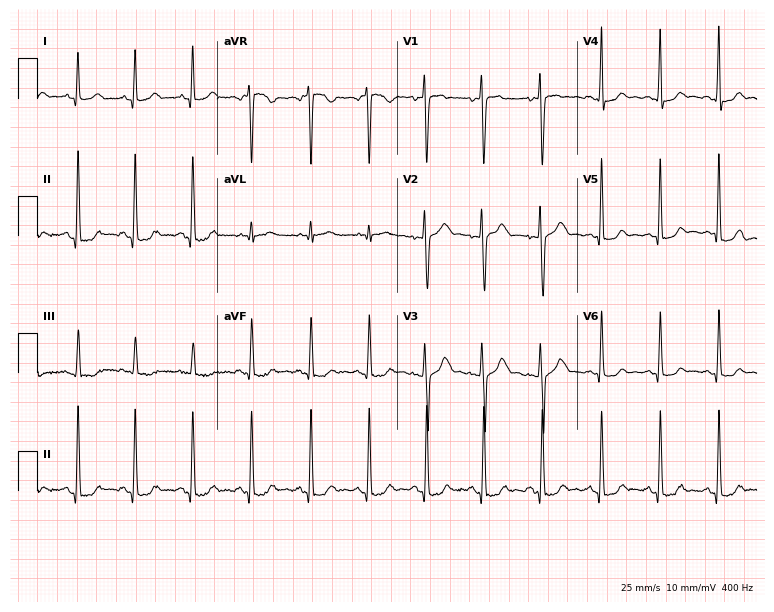
ECG (7.3-second recording at 400 Hz) — a 23-year-old female. Screened for six findings — first-degree AV block, right bundle branch block, left bundle branch block, sinus bradycardia, atrial fibrillation, sinus tachycardia — none is recorded. Findings outside these six are not listed.